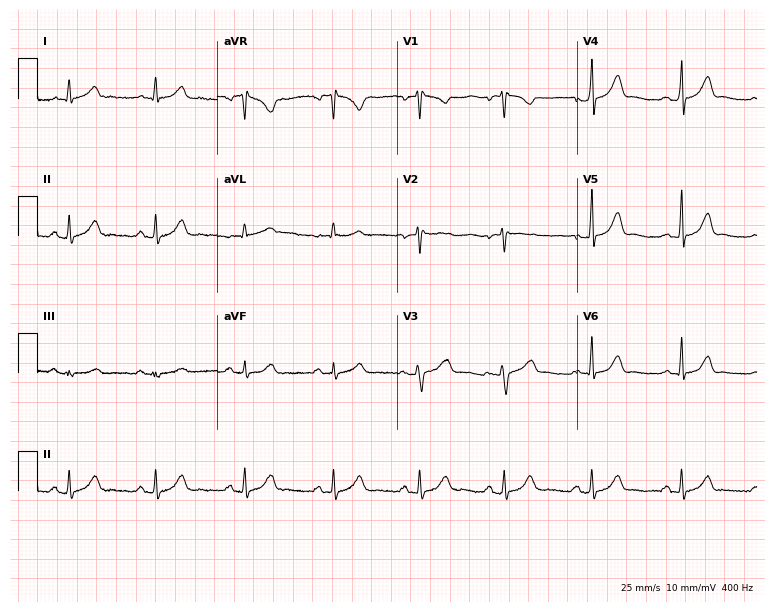
12-lead ECG from a 30-year-old woman. Labelled as a normal ECG.